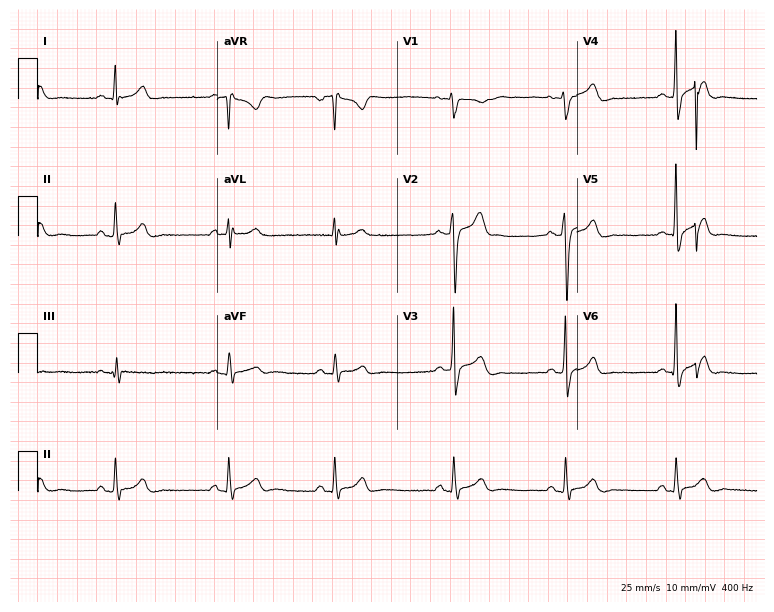
12-lead ECG from a 23-year-old man (7.3-second recording at 400 Hz). Recorded interpretation: within normal limits.